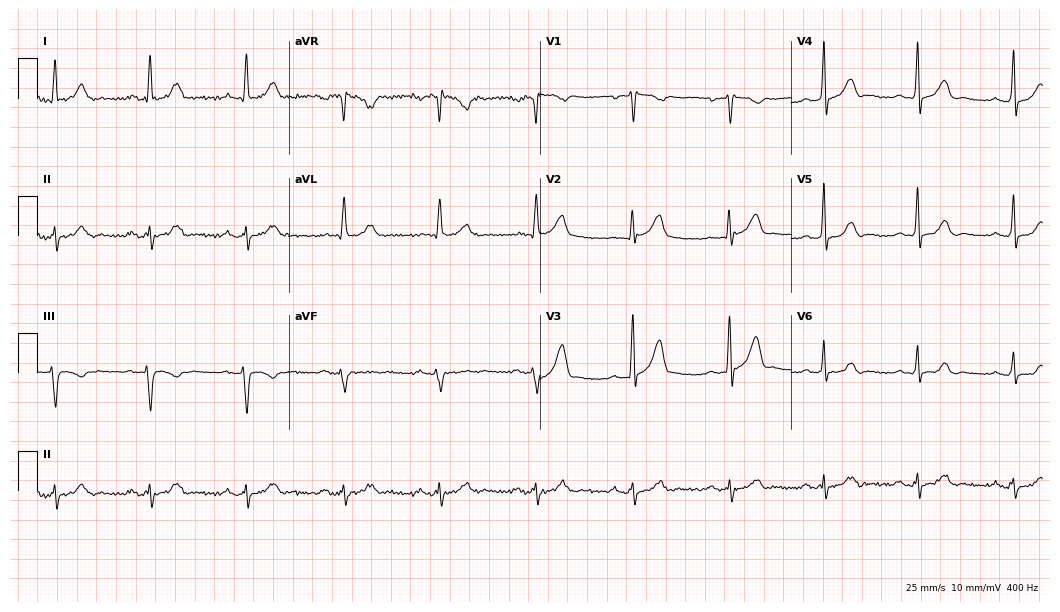
ECG — a male, 69 years old. Screened for six findings — first-degree AV block, right bundle branch block, left bundle branch block, sinus bradycardia, atrial fibrillation, sinus tachycardia — none is recorded. Findings outside these six are not listed.